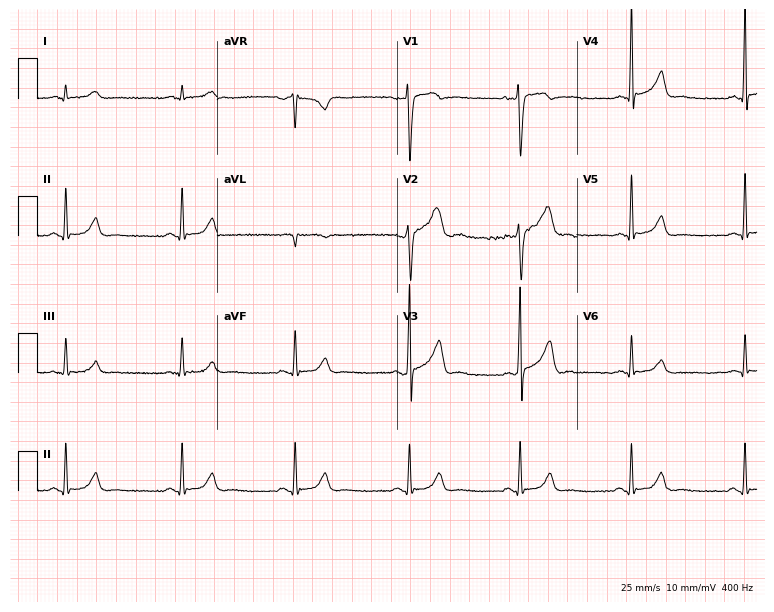
ECG — a man, 31 years old. Labelled as a normal ECG.